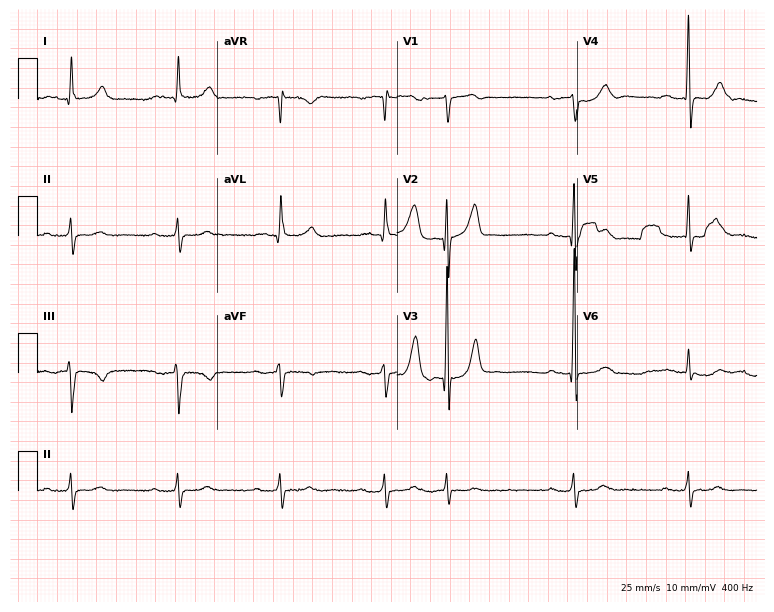
12-lead ECG from a 75-year-old male patient (7.3-second recording at 400 Hz). No first-degree AV block, right bundle branch block, left bundle branch block, sinus bradycardia, atrial fibrillation or sinus tachycardia recorded for this tracing. Other findings, if any, are not listed.